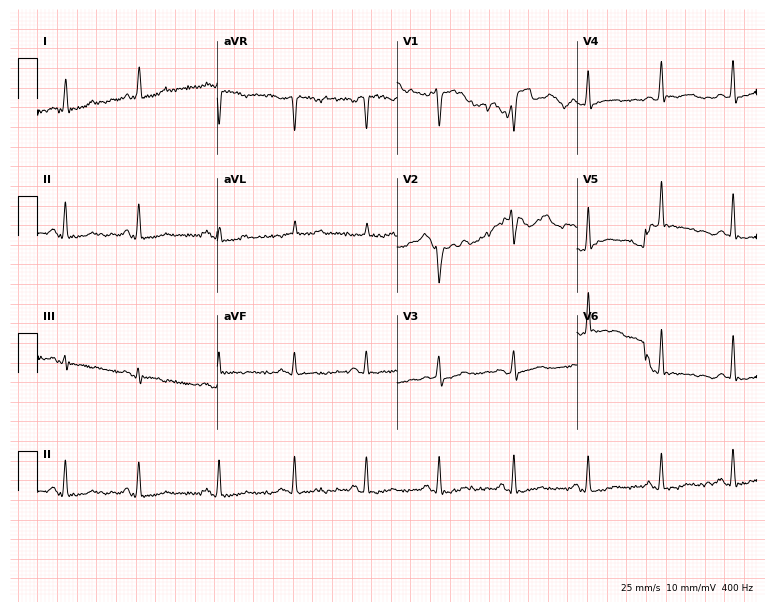
Standard 12-lead ECG recorded from a female patient, 45 years old. None of these six findings is recorded: first-degree AV block, right bundle branch block, left bundle branch block, sinus bradycardia, atrial fibrillation, sinus tachycardia. Findings outside these six are not listed.